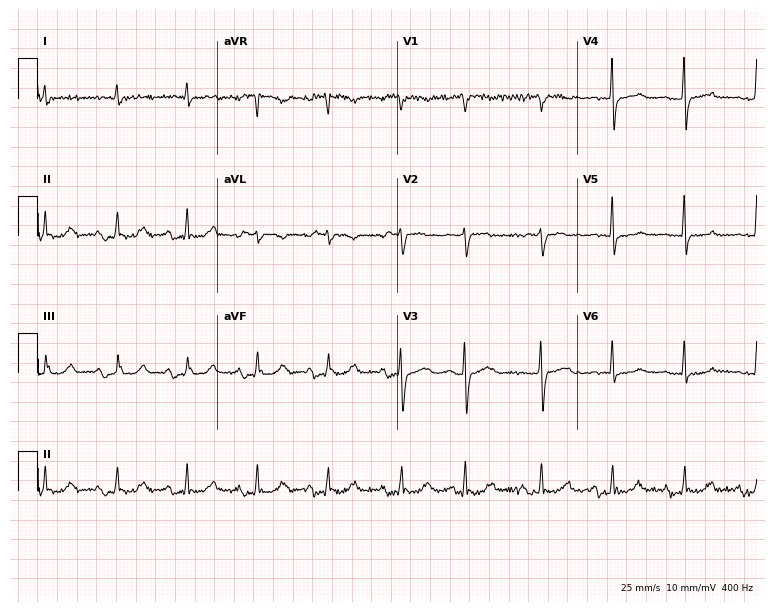
Resting 12-lead electrocardiogram. Patient: a man, 79 years old. None of these six findings is recorded: first-degree AV block, right bundle branch block (RBBB), left bundle branch block (LBBB), sinus bradycardia, atrial fibrillation (AF), sinus tachycardia.